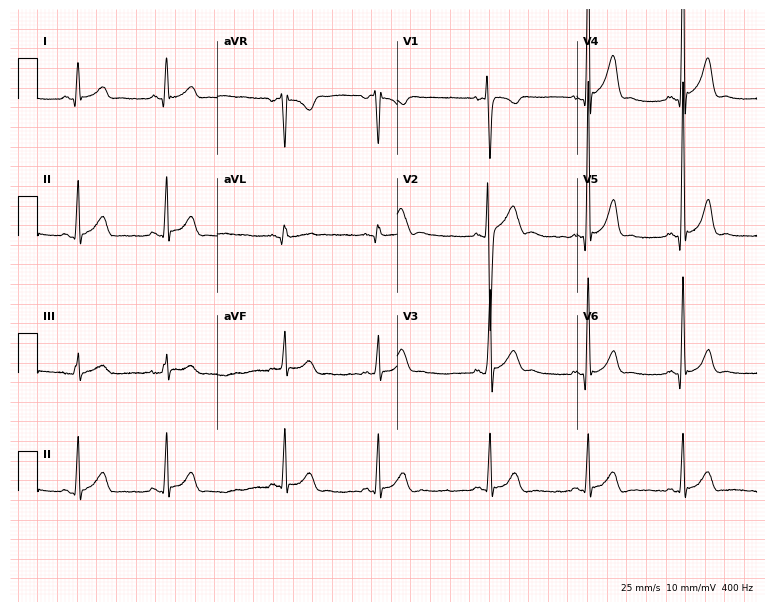
Standard 12-lead ECG recorded from an 18-year-old male patient. Read as a normal ECG.